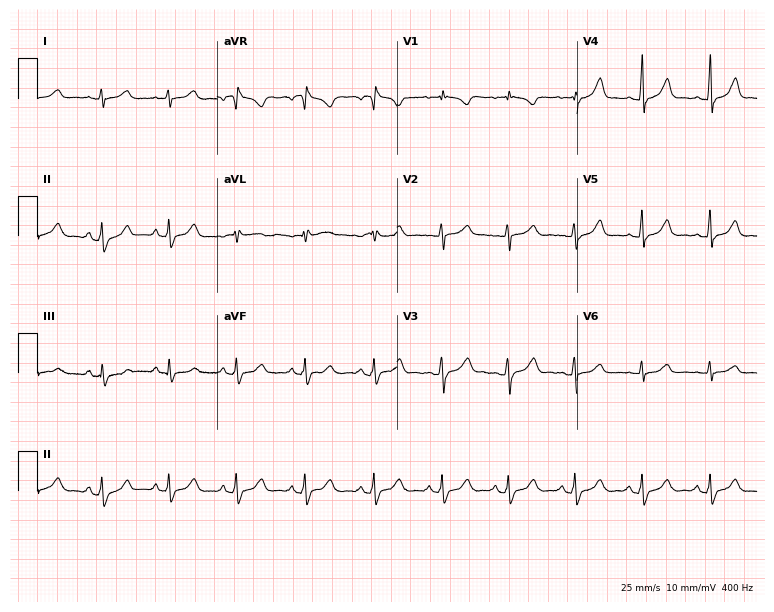
Standard 12-lead ECG recorded from a 41-year-old female (7.3-second recording at 400 Hz). Read as a normal ECG.